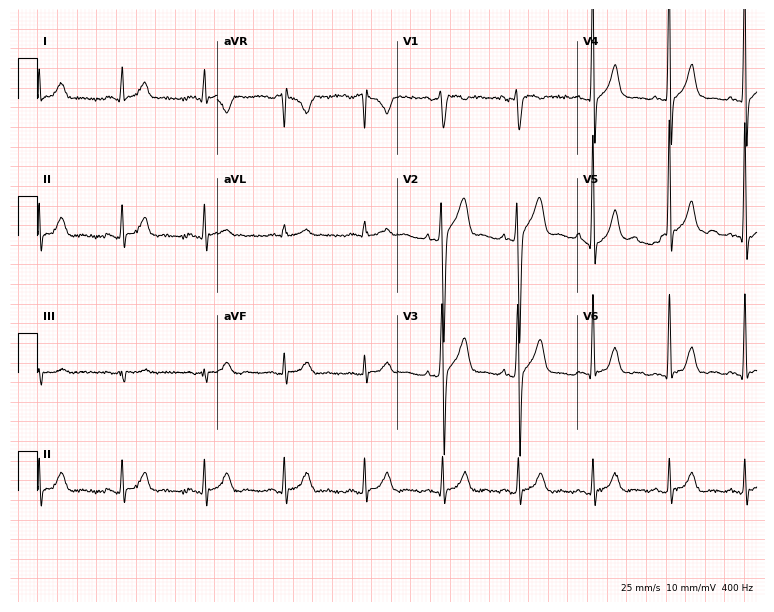
12-lead ECG from a male patient, 33 years old (7.3-second recording at 400 Hz). Recorded interpretation: within normal limits.